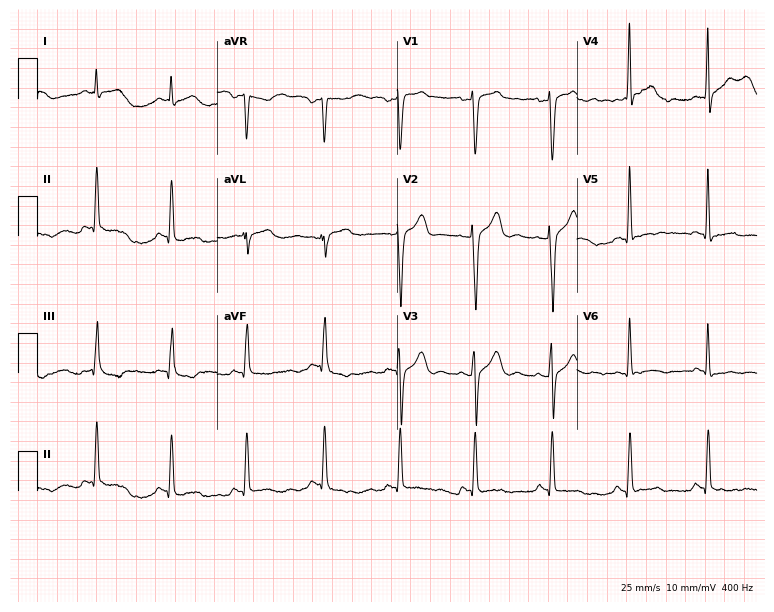
Resting 12-lead electrocardiogram (7.3-second recording at 400 Hz). Patient: a man, 47 years old. None of these six findings is recorded: first-degree AV block, right bundle branch block (RBBB), left bundle branch block (LBBB), sinus bradycardia, atrial fibrillation (AF), sinus tachycardia. Other findings, if any, are not listed.